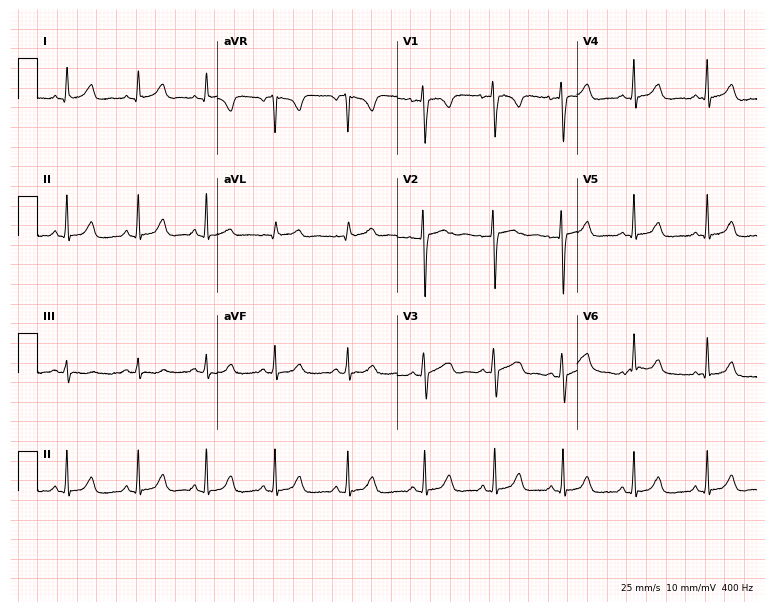
Resting 12-lead electrocardiogram. Patient: a female, 31 years old. Read as a normal ECG.